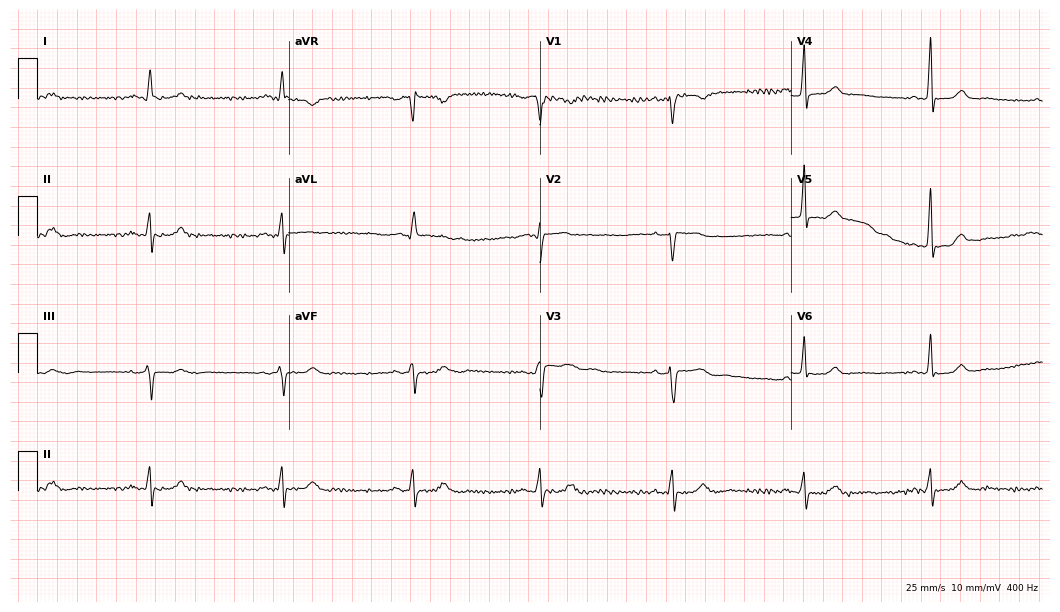
12-lead ECG from a 61-year-old female patient. Screened for six findings — first-degree AV block, right bundle branch block, left bundle branch block, sinus bradycardia, atrial fibrillation, sinus tachycardia — none is recorded.